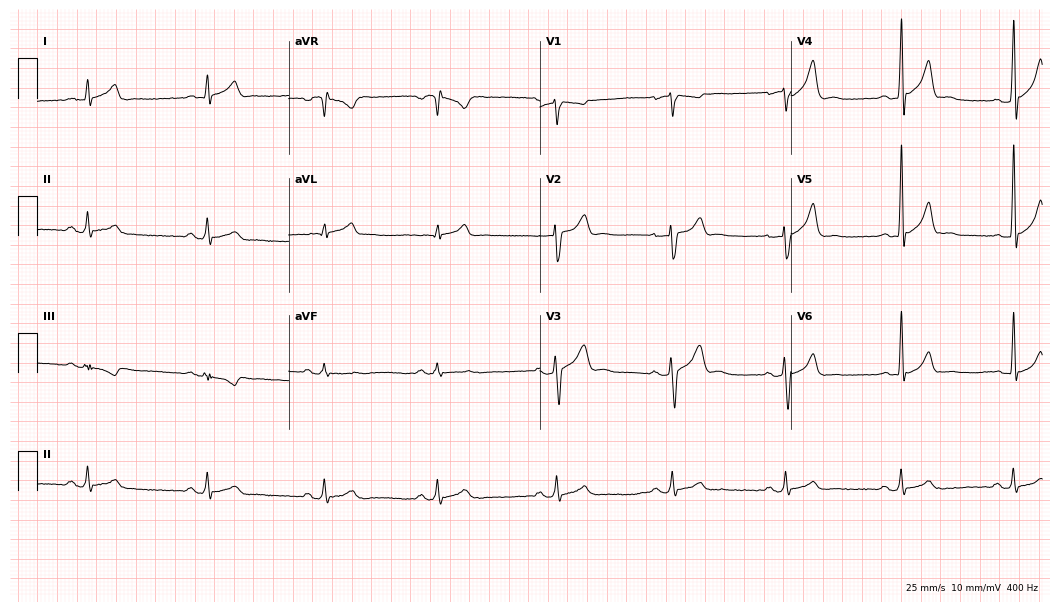
Electrocardiogram, a woman, 34 years old. Interpretation includes sinus bradycardia (a sinus rate of 50 beats per minute or less).